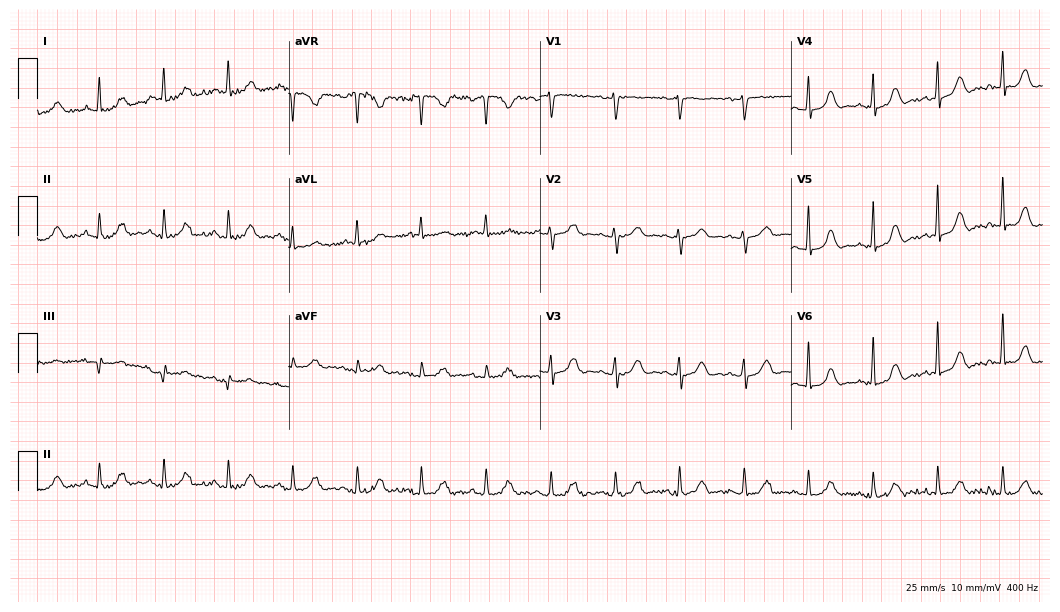
ECG — a woman, 76 years old. Labelled as a normal ECG.